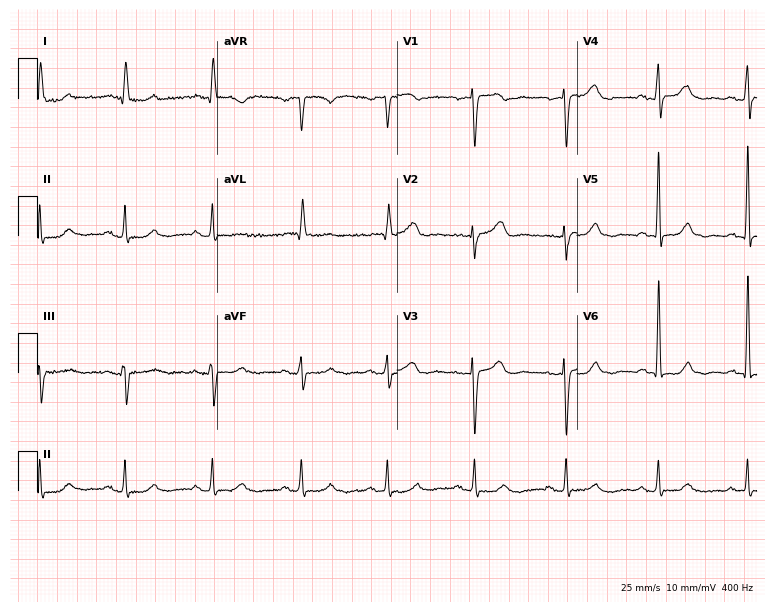
12-lead ECG (7.3-second recording at 400 Hz) from an 80-year-old woman. Labelled as a normal ECG.